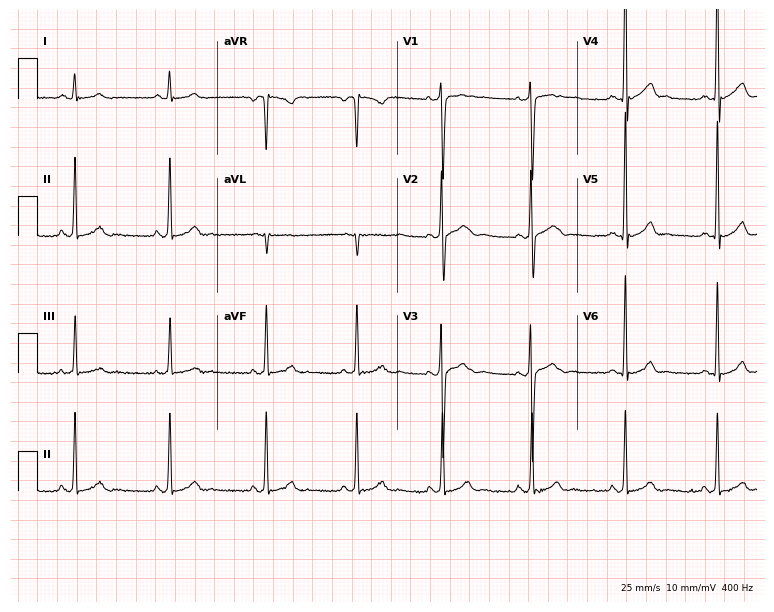
ECG — a 17-year-old male patient. Labelled as a normal ECG.